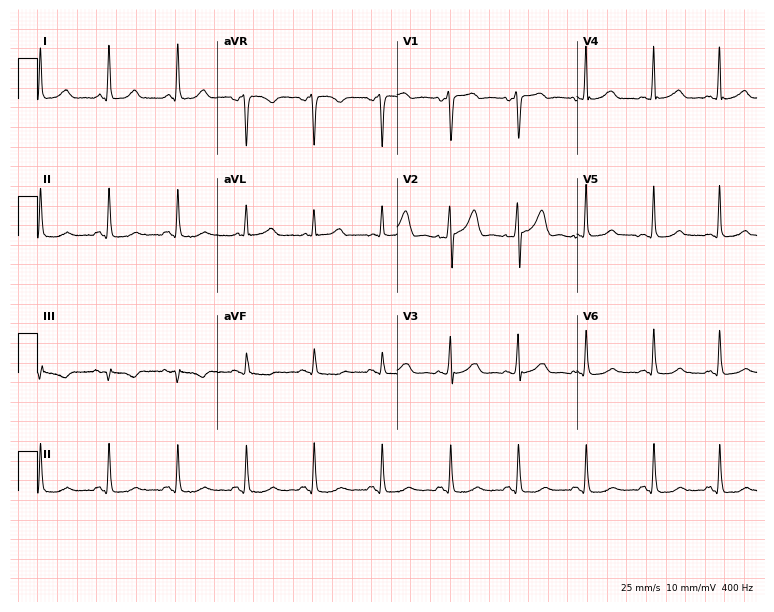
12-lead ECG from a 61-year-old man (7.3-second recording at 400 Hz). Recorded interpretation: within normal limits.